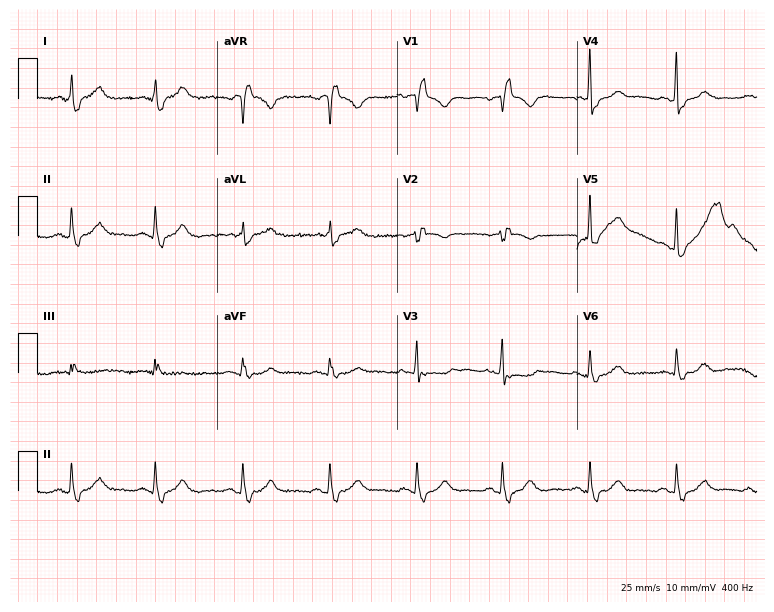
12-lead ECG (7.3-second recording at 400 Hz) from a female, 62 years old. Screened for six findings — first-degree AV block, right bundle branch block (RBBB), left bundle branch block (LBBB), sinus bradycardia, atrial fibrillation (AF), sinus tachycardia — none is recorded. Only these six findings were labelled.